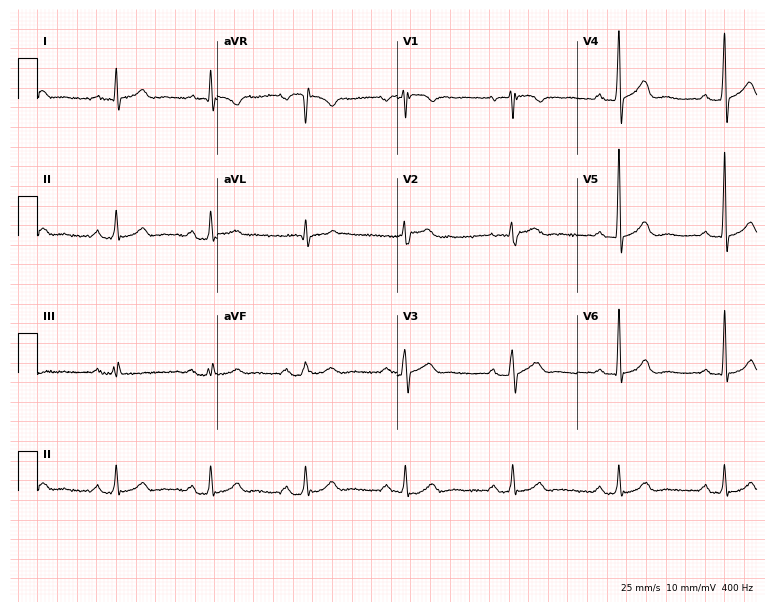
12-lead ECG from a male patient, 47 years old. Labelled as a normal ECG.